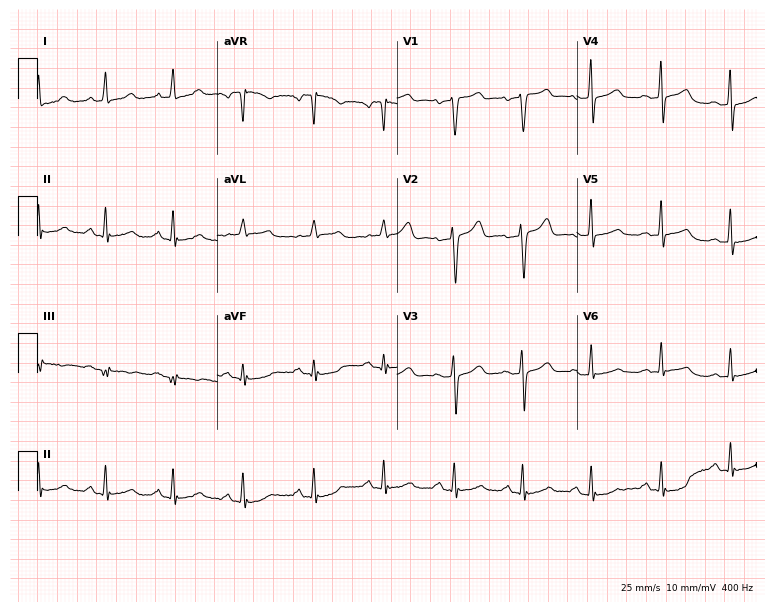
Resting 12-lead electrocardiogram. Patient: a woman, 54 years old. None of these six findings is recorded: first-degree AV block, right bundle branch block, left bundle branch block, sinus bradycardia, atrial fibrillation, sinus tachycardia. Only these six findings were labelled.